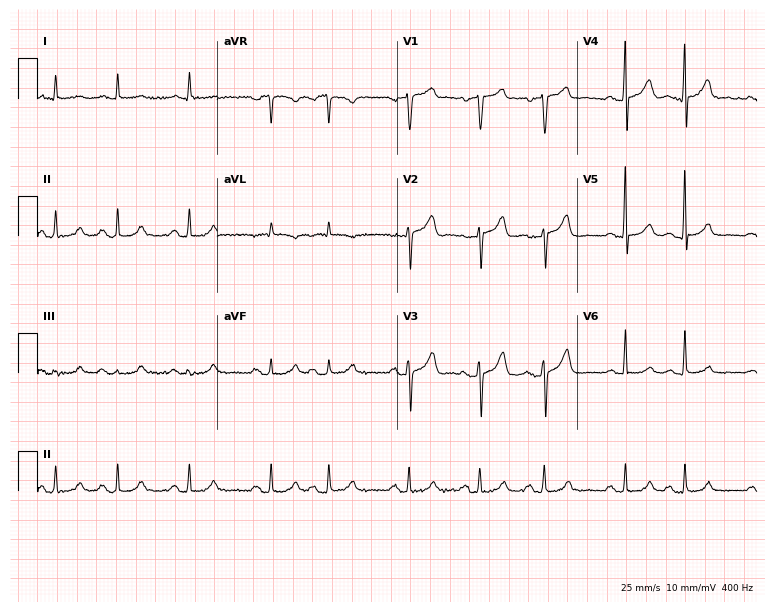
12-lead ECG from a man, 66 years old. No first-degree AV block, right bundle branch block, left bundle branch block, sinus bradycardia, atrial fibrillation or sinus tachycardia recorded for this tracing.